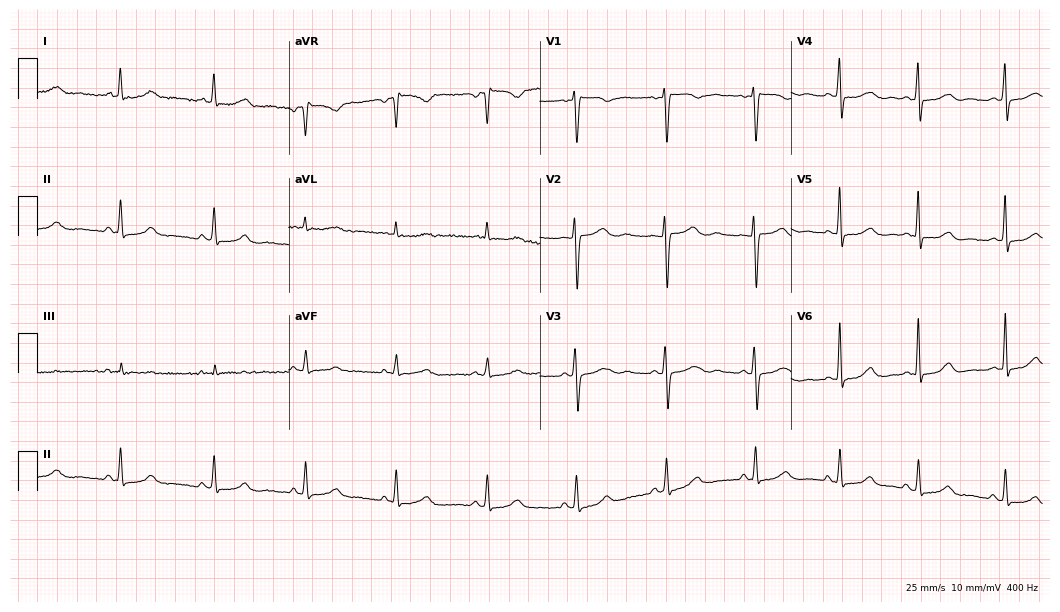
12-lead ECG from a female, 43 years old. Screened for six findings — first-degree AV block, right bundle branch block, left bundle branch block, sinus bradycardia, atrial fibrillation, sinus tachycardia — none is recorded.